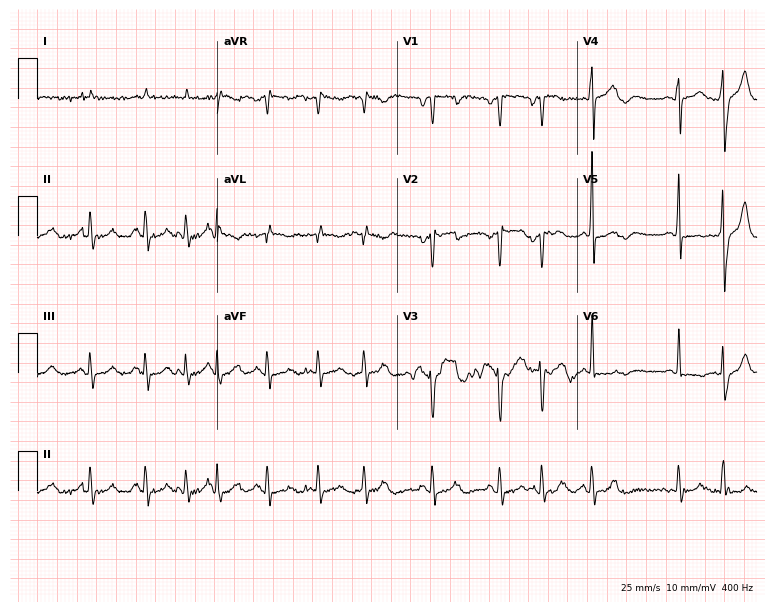
Resting 12-lead electrocardiogram (7.3-second recording at 400 Hz). Patient: a male, 83 years old. None of these six findings is recorded: first-degree AV block, right bundle branch block, left bundle branch block, sinus bradycardia, atrial fibrillation, sinus tachycardia. Only these six findings were labelled.